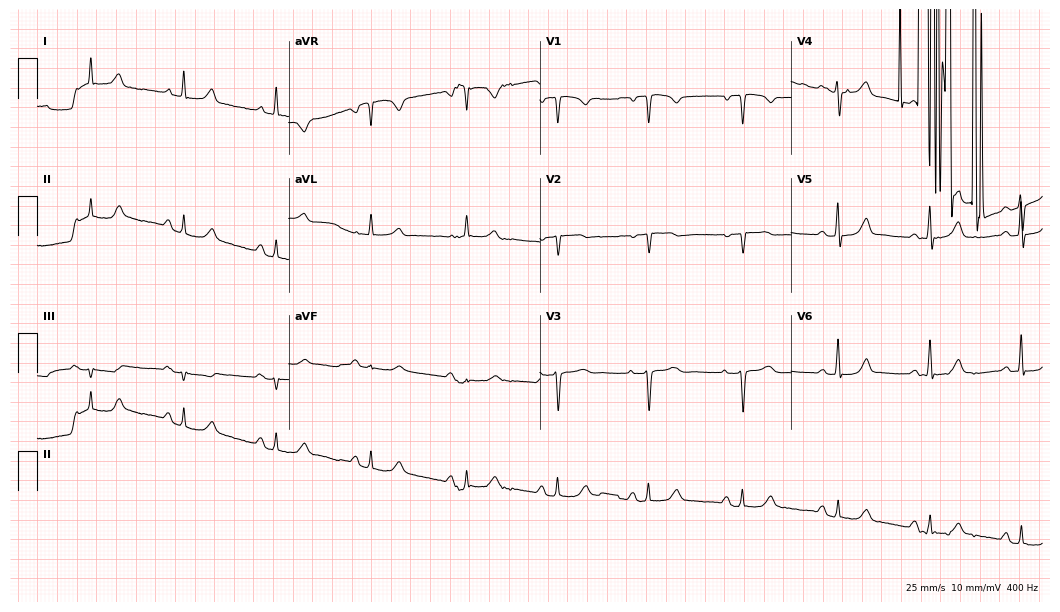
12-lead ECG (10.2-second recording at 400 Hz) from a female patient, 54 years old. Screened for six findings — first-degree AV block, right bundle branch block, left bundle branch block, sinus bradycardia, atrial fibrillation, sinus tachycardia — none is recorded. Other findings, if any, are not listed.